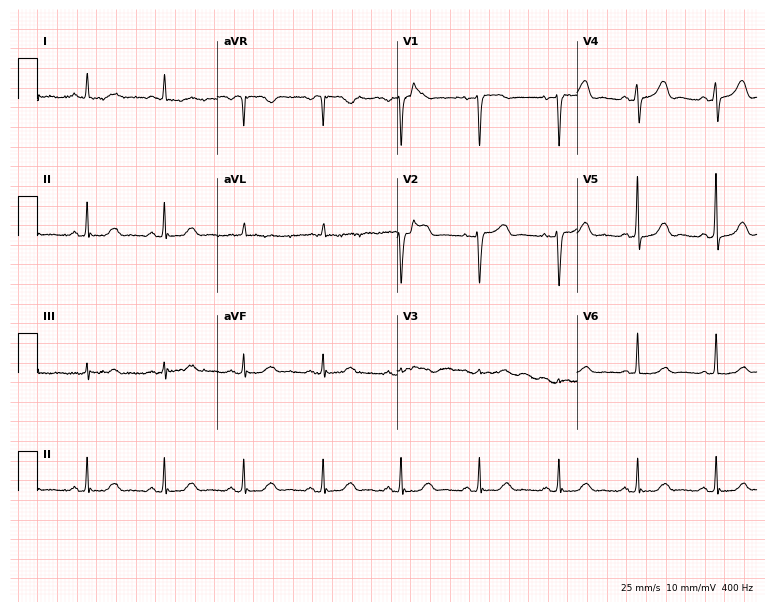
12-lead ECG from an 81-year-old woman. Screened for six findings — first-degree AV block, right bundle branch block (RBBB), left bundle branch block (LBBB), sinus bradycardia, atrial fibrillation (AF), sinus tachycardia — none is recorded.